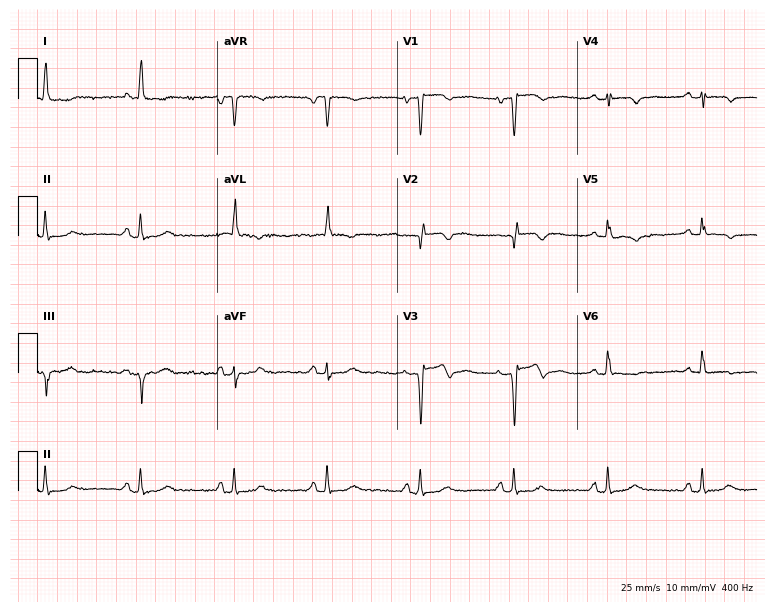
12-lead ECG from a female patient, 81 years old. Screened for six findings — first-degree AV block, right bundle branch block, left bundle branch block, sinus bradycardia, atrial fibrillation, sinus tachycardia — none is recorded. Only these six findings were labelled.